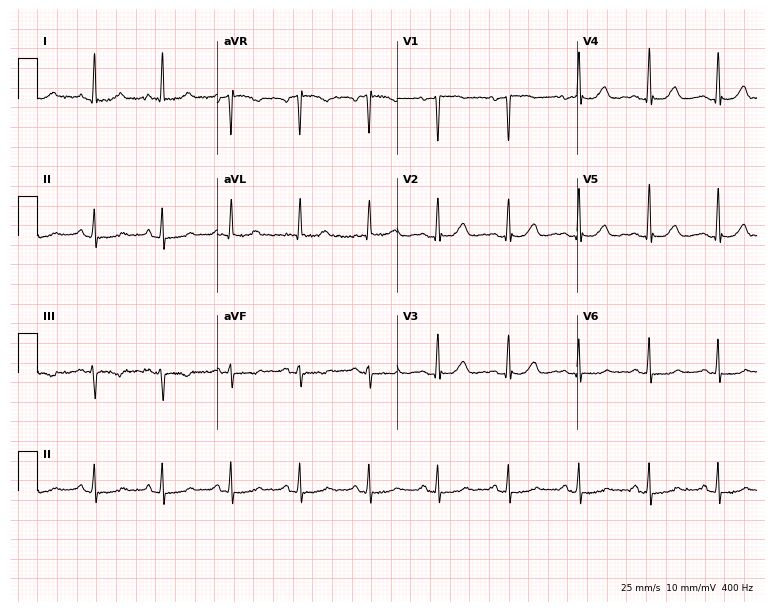
Electrocardiogram (7.3-second recording at 400 Hz), a woman, 72 years old. Of the six screened findings (first-degree AV block, right bundle branch block, left bundle branch block, sinus bradycardia, atrial fibrillation, sinus tachycardia), none is recorded.